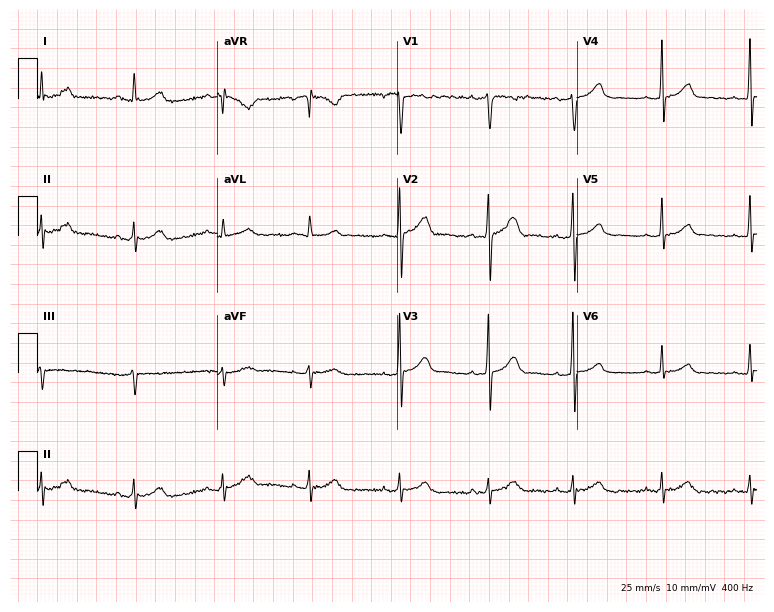
12-lead ECG from a 30-year-old male patient. Recorded interpretation: within normal limits.